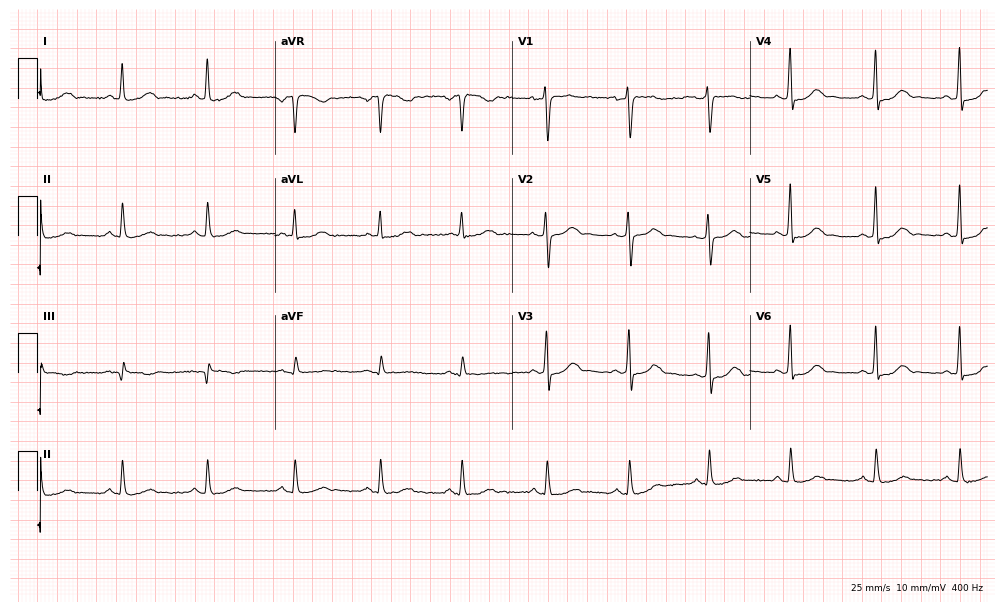
Standard 12-lead ECG recorded from a female patient, 43 years old. Read as a normal ECG.